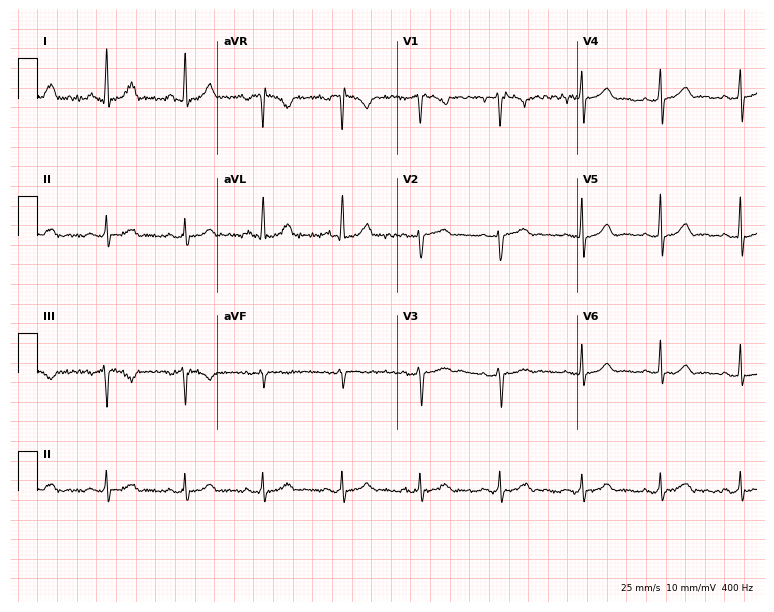
Electrocardiogram (7.3-second recording at 400 Hz), a female, 40 years old. Overall reading on record: normal ECG.